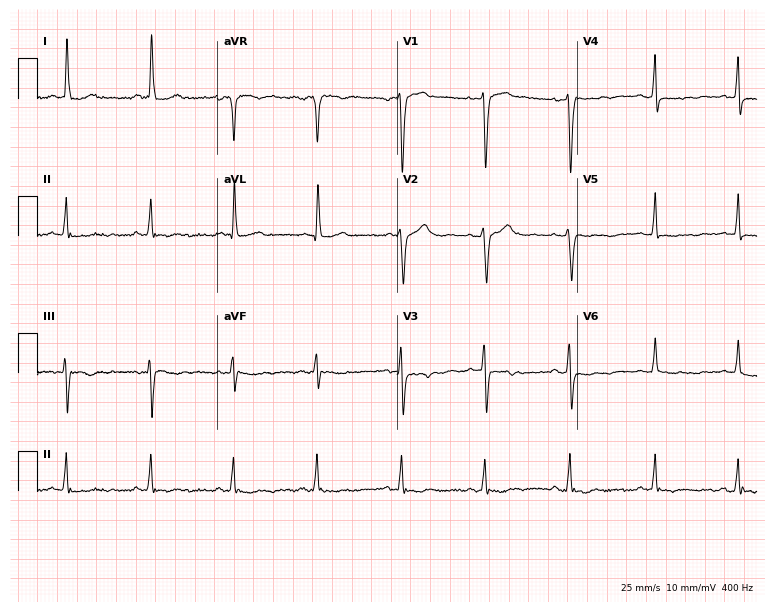
ECG (7.3-second recording at 400 Hz) — a female patient, 52 years old. Screened for six findings — first-degree AV block, right bundle branch block, left bundle branch block, sinus bradycardia, atrial fibrillation, sinus tachycardia — none is recorded. Findings outside these six are not listed.